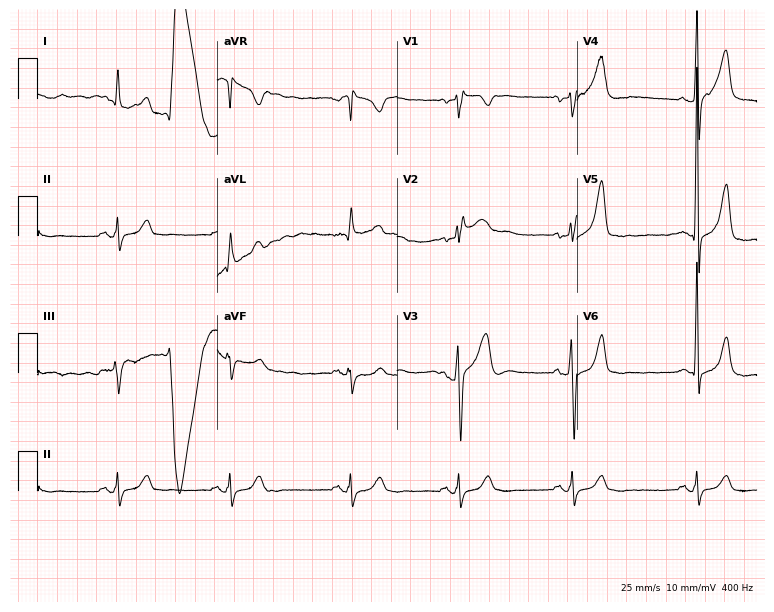
Electrocardiogram (7.3-second recording at 400 Hz), a 67-year-old male. Of the six screened findings (first-degree AV block, right bundle branch block (RBBB), left bundle branch block (LBBB), sinus bradycardia, atrial fibrillation (AF), sinus tachycardia), none is recorded. Other findings, if any, are not listed.